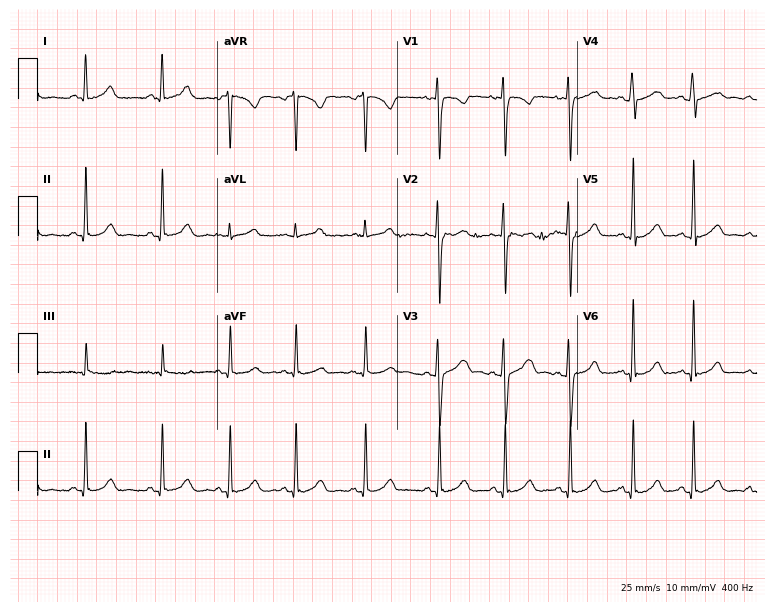
Resting 12-lead electrocardiogram (7.3-second recording at 400 Hz). Patient: a 17-year-old woman. None of these six findings is recorded: first-degree AV block, right bundle branch block, left bundle branch block, sinus bradycardia, atrial fibrillation, sinus tachycardia.